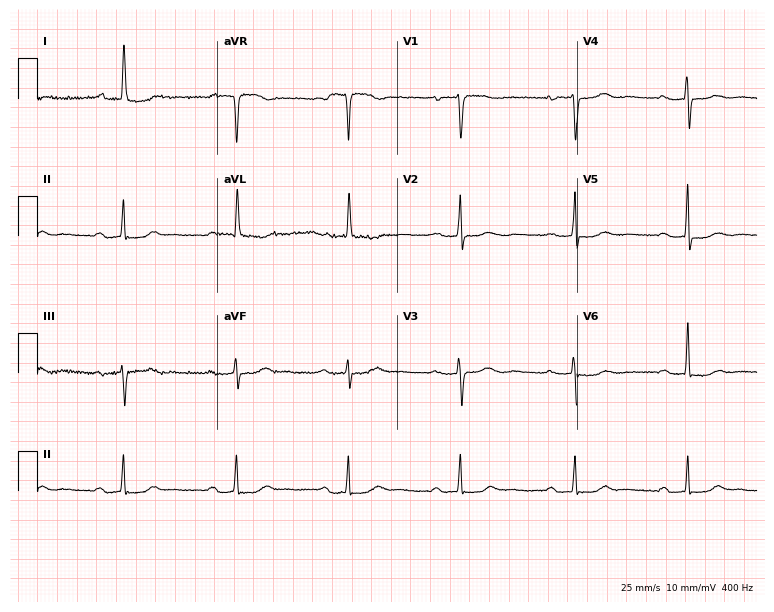
12-lead ECG from an 80-year-old female patient (7.3-second recording at 400 Hz). Shows first-degree AV block.